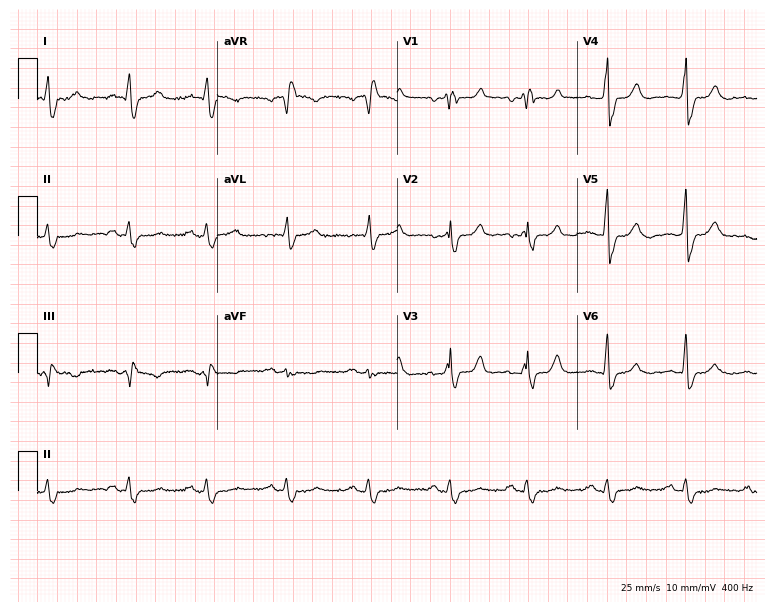
Resting 12-lead electrocardiogram (7.3-second recording at 400 Hz). Patient: a 53-year-old male. The tracing shows right bundle branch block (RBBB).